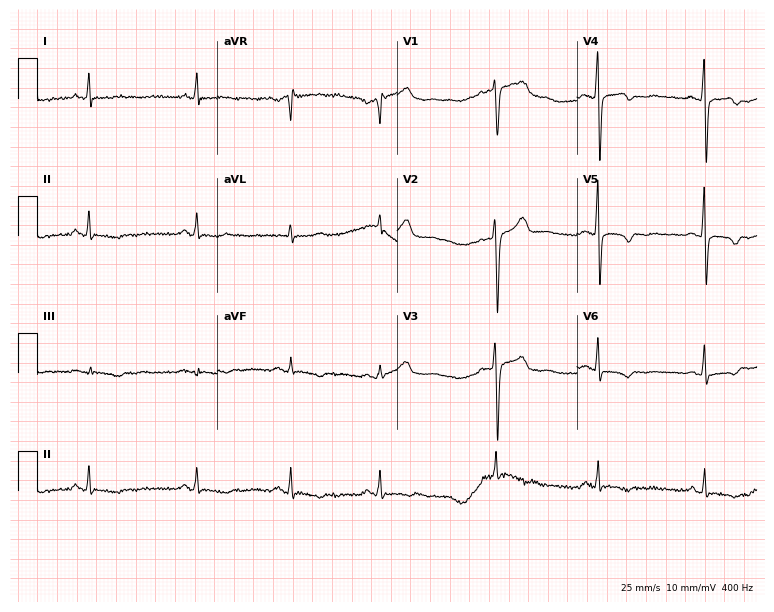
12-lead ECG from a woman, 36 years old. Screened for six findings — first-degree AV block, right bundle branch block, left bundle branch block, sinus bradycardia, atrial fibrillation, sinus tachycardia — none is recorded. Only these six findings were labelled.